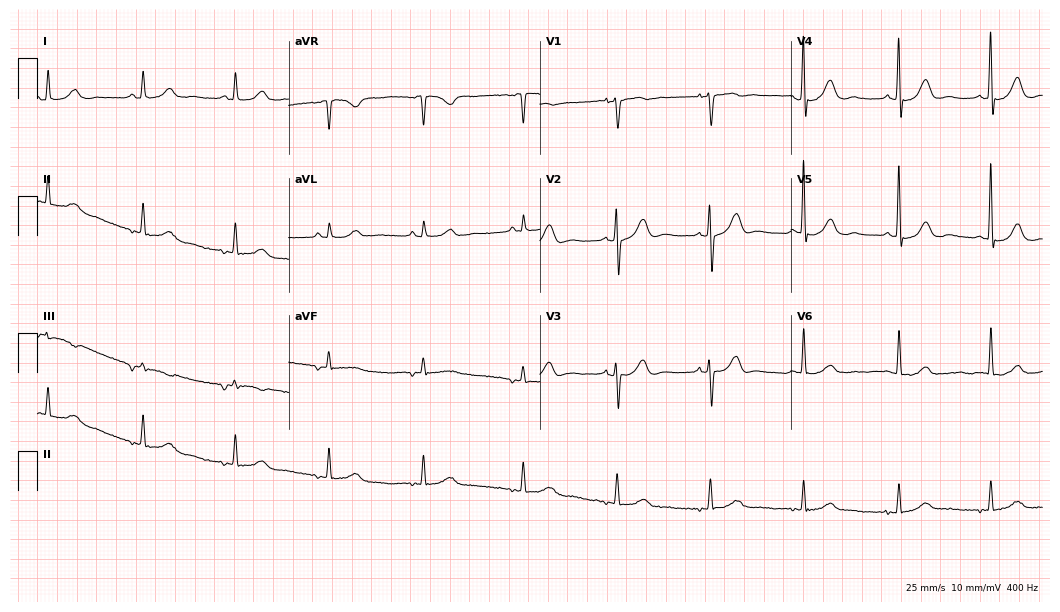
Resting 12-lead electrocardiogram (10.2-second recording at 400 Hz). Patient: a woman, 82 years old. None of these six findings is recorded: first-degree AV block, right bundle branch block, left bundle branch block, sinus bradycardia, atrial fibrillation, sinus tachycardia. Only these six findings were labelled.